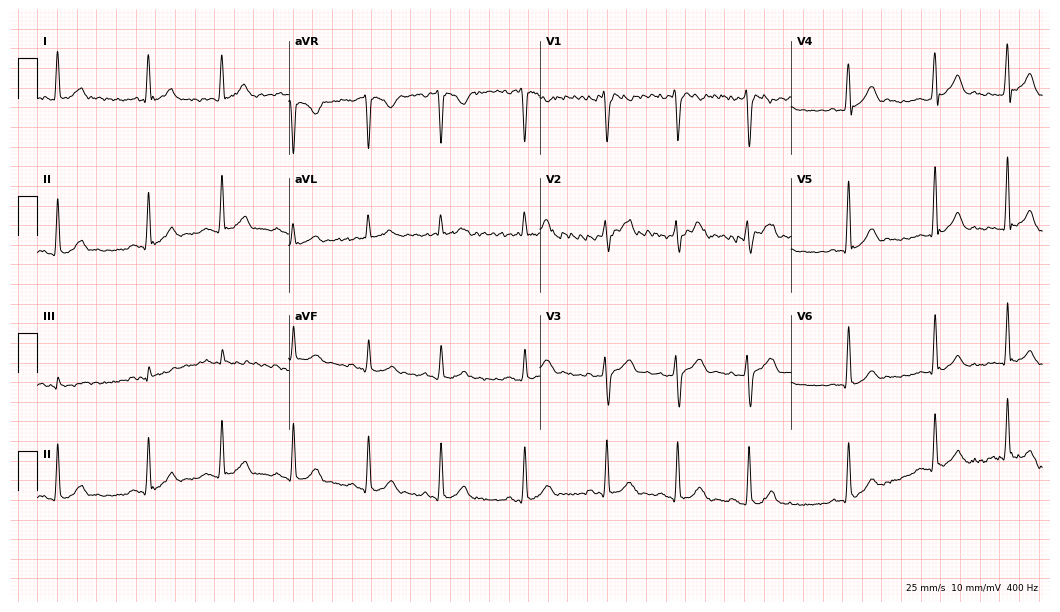
12-lead ECG (10.2-second recording at 400 Hz) from a male, 20 years old. Labelled as a normal ECG.